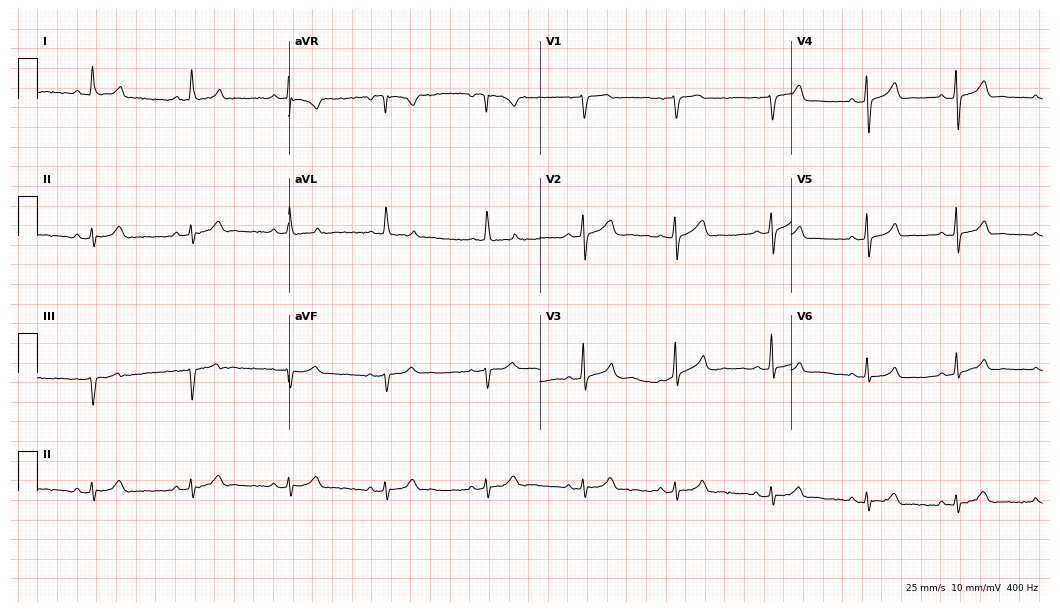
ECG — a 72-year-old female patient. Screened for six findings — first-degree AV block, right bundle branch block, left bundle branch block, sinus bradycardia, atrial fibrillation, sinus tachycardia — none is recorded. Only these six findings were labelled.